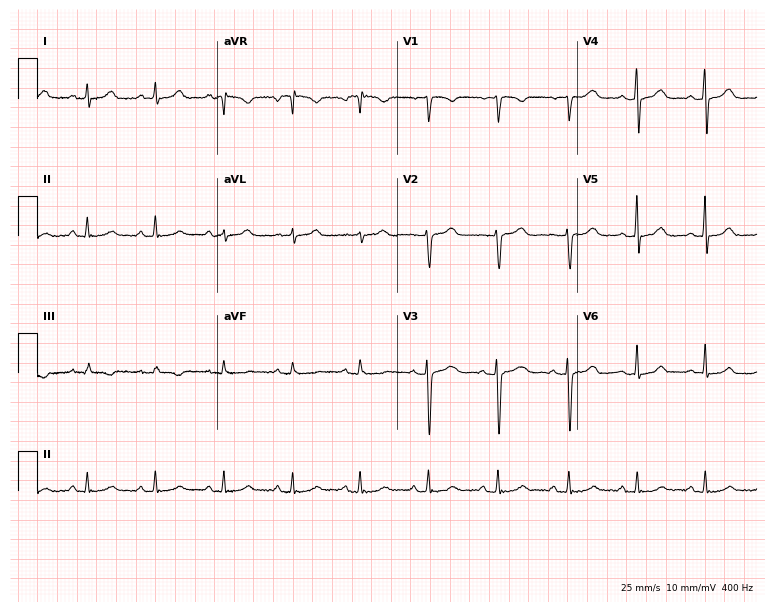
Resting 12-lead electrocardiogram (7.3-second recording at 400 Hz). Patient: a 35-year-old woman. Read as a normal ECG.